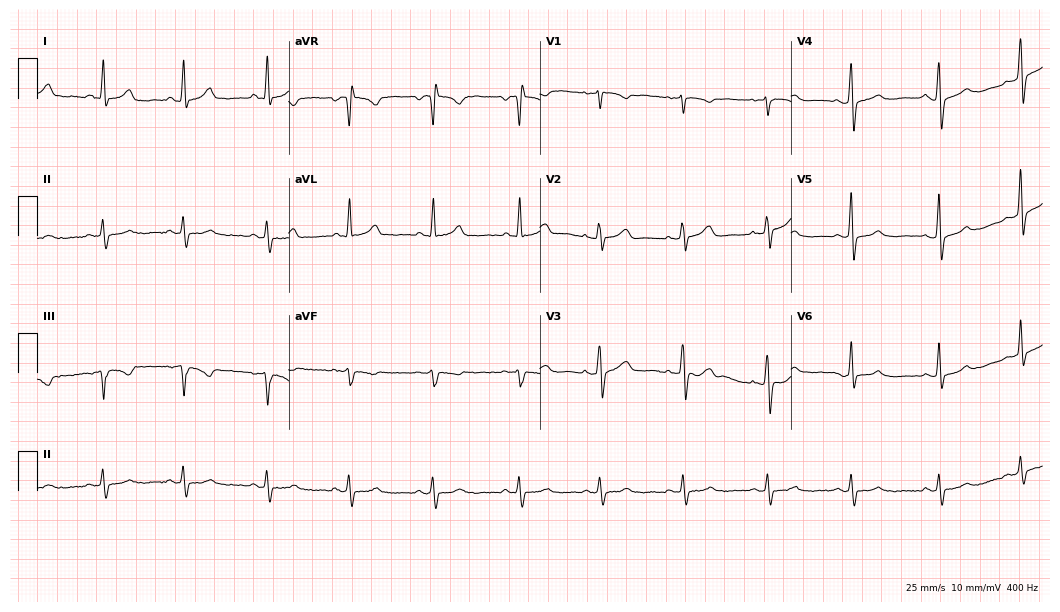
Resting 12-lead electrocardiogram (10.2-second recording at 400 Hz). Patient: a male, 56 years old. None of these six findings is recorded: first-degree AV block, right bundle branch block, left bundle branch block, sinus bradycardia, atrial fibrillation, sinus tachycardia.